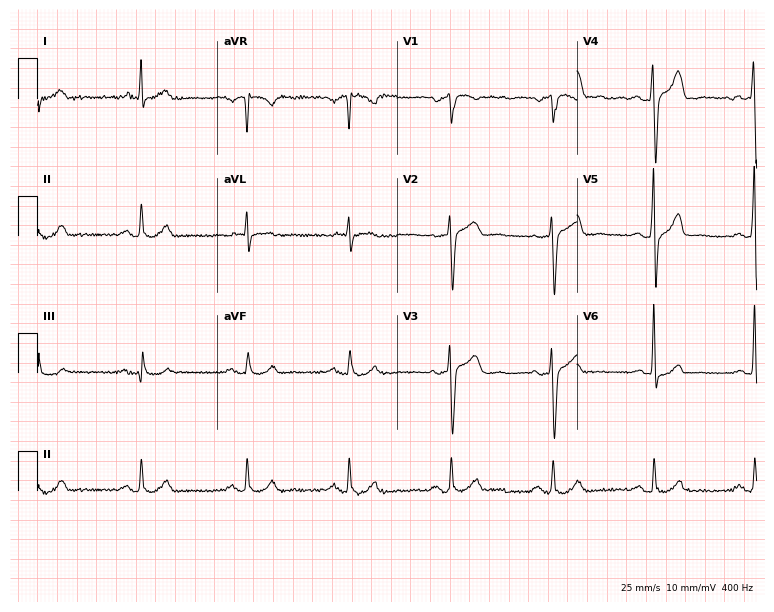
Standard 12-lead ECG recorded from a 76-year-old man. Read as a normal ECG.